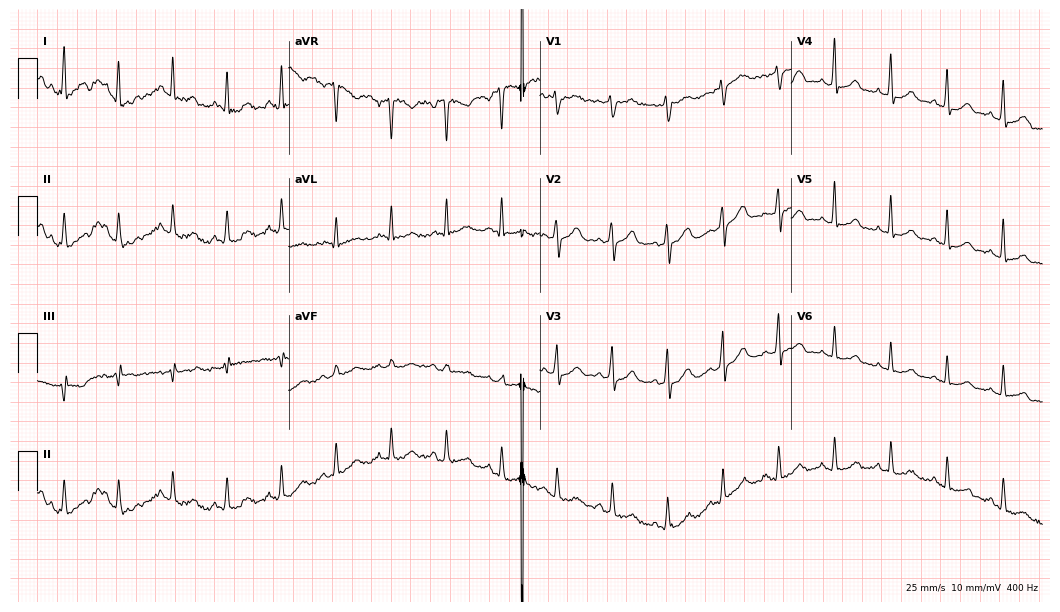
ECG (10.2-second recording at 400 Hz) — a female, 53 years old. Findings include sinus tachycardia (a sinus rate of 100 beats per minute or more).